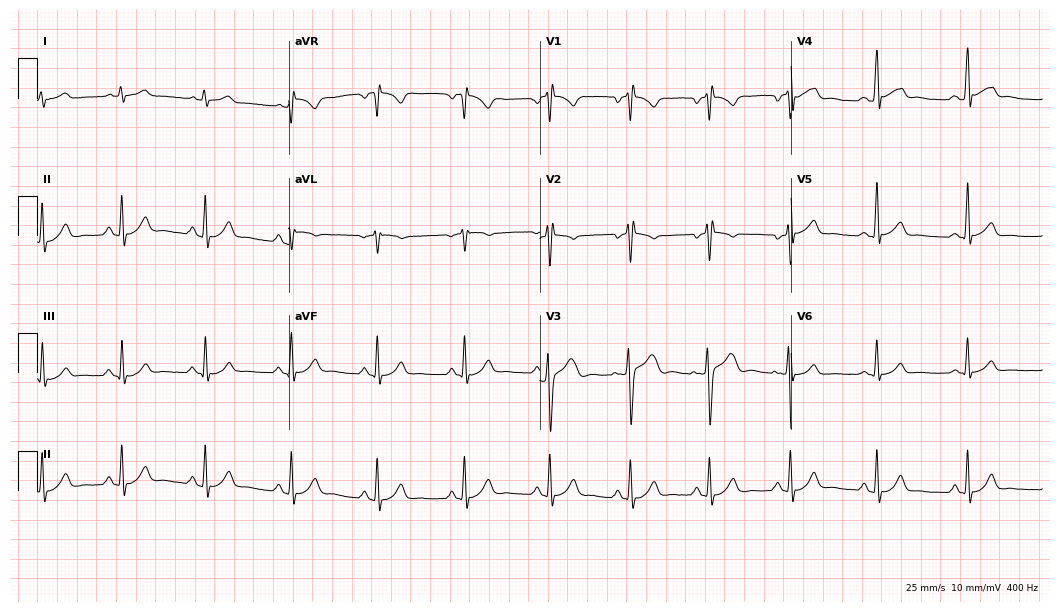
ECG — a 27-year-old male patient. Screened for six findings — first-degree AV block, right bundle branch block, left bundle branch block, sinus bradycardia, atrial fibrillation, sinus tachycardia — none is recorded. Findings outside these six are not listed.